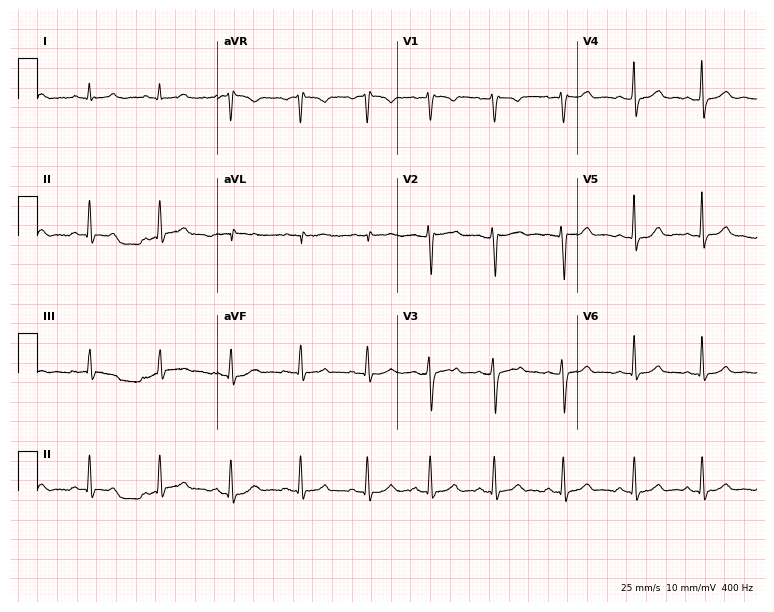
Standard 12-lead ECG recorded from a 27-year-old woman. Read as a normal ECG.